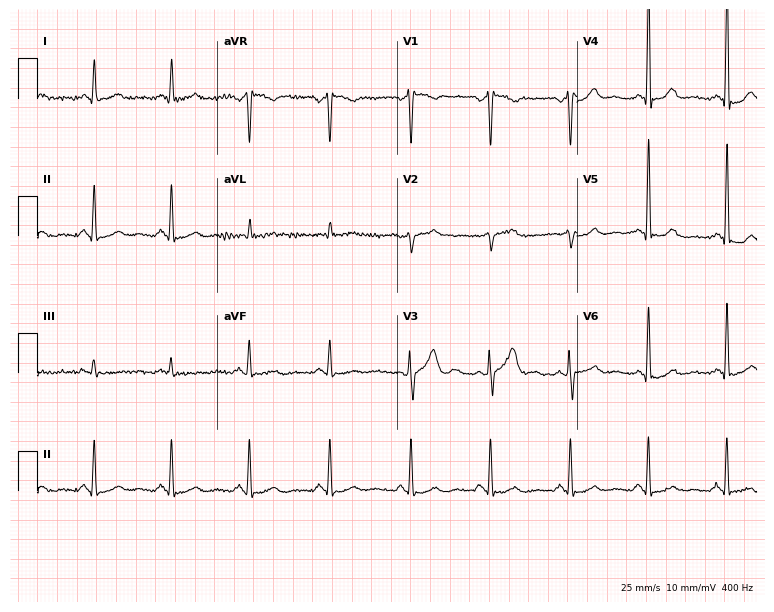
Resting 12-lead electrocardiogram. Patient: a male, 54 years old. None of these six findings is recorded: first-degree AV block, right bundle branch block, left bundle branch block, sinus bradycardia, atrial fibrillation, sinus tachycardia. Other findings, if any, are not listed.